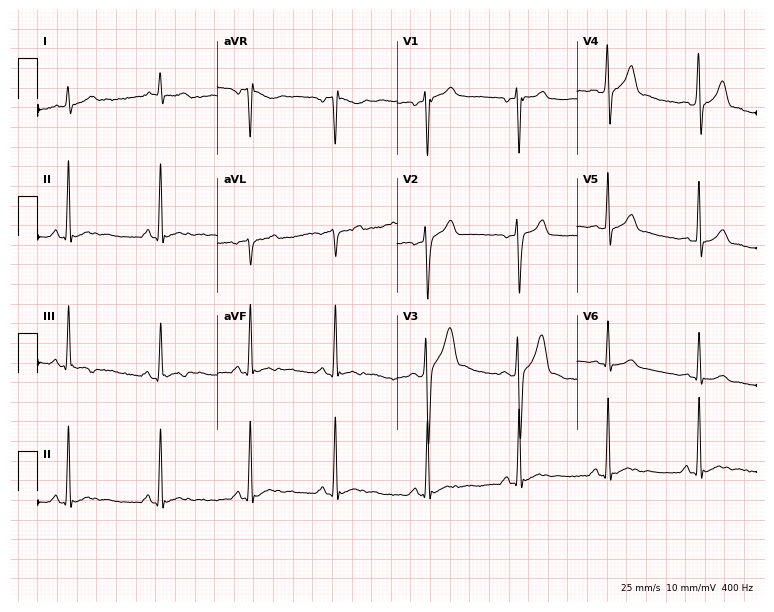
ECG (7.3-second recording at 400 Hz) — a 21-year-old male patient. Screened for six findings — first-degree AV block, right bundle branch block, left bundle branch block, sinus bradycardia, atrial fibrillation, sinus tachycardia — none is recorded. Other findings, if any, are not listed.